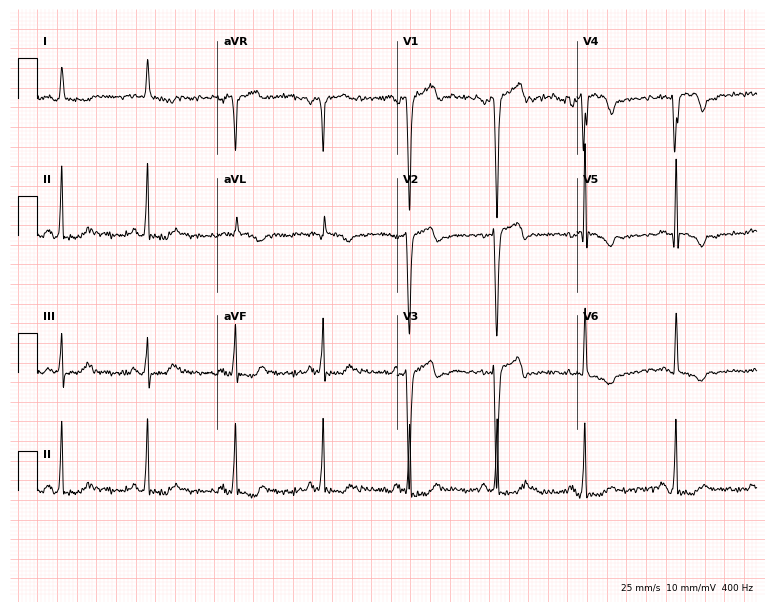
12-lead ECG from a male patient, 76 years old. No first-degree AV block, right bundle branch block, left bundle branch block, sinus bradycardia, atrial fibrillation or sinus tachycardia recorded for this tracing. Findings outside these six are not listed.